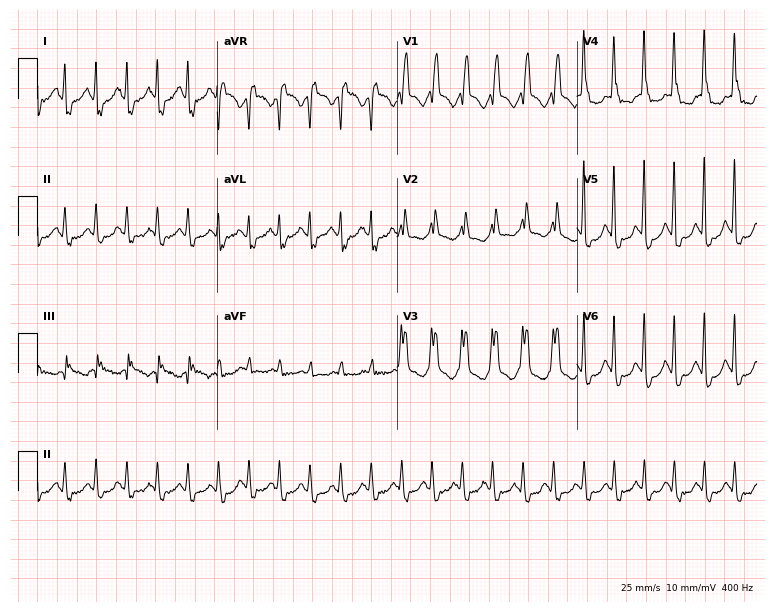
Standard 12-lead ECG recorded from a woman, 75 years old (7.3-second recording at 400 Hz). The tracing shows right bundle branch block.